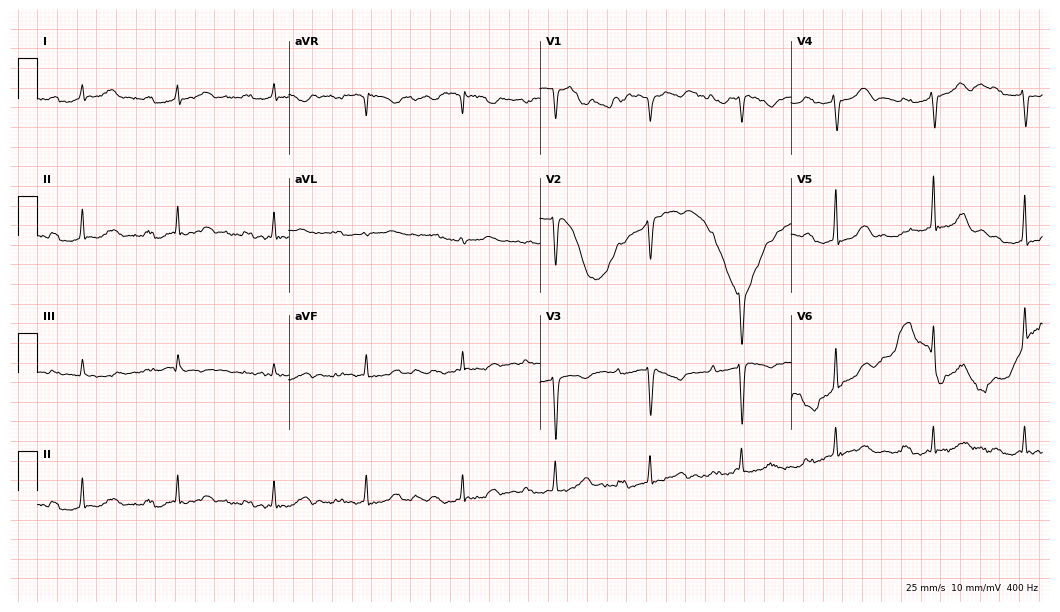
12-lead ECG from a 50-year-old female patient (10.2-second recording at 400 Hz). No first-degree AV block, right bundle branch block, left bundle branch block, sinus bradycardia, atrial fibrillation or sinus tachycardia recorded for this tracing. Findings outside these six are not listed.